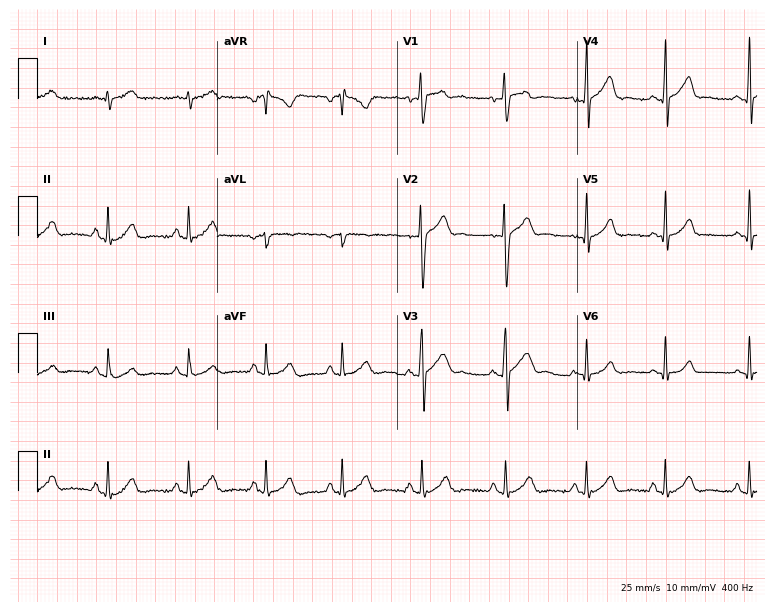
ECG — a 21-year-old man. Screened for six findings — first-degree AV block, right bundle branch block, left bundle branch block, sinus bradycardia, atrial fibrillation, sinus tachycardia — none is recorded.